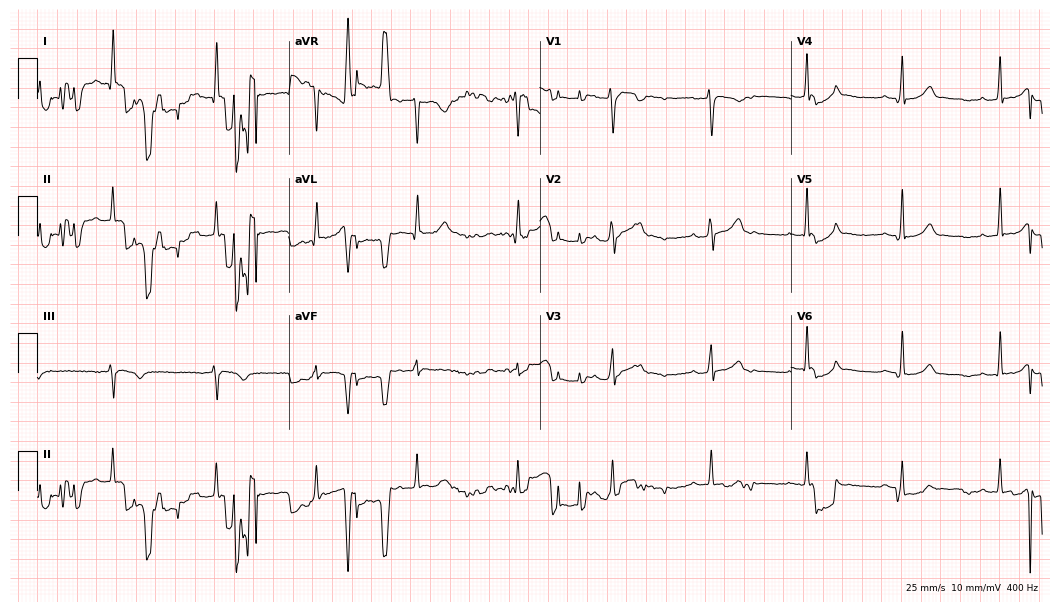
ECG — a 26-year-old male patient. Screened for six findings — first-degree AV block, right bundle branch block, left bundle branch block, sinus bradycardia, atrial fibrillation, sinus tachycardia — none is recorded. Findings outside these six are not listed.